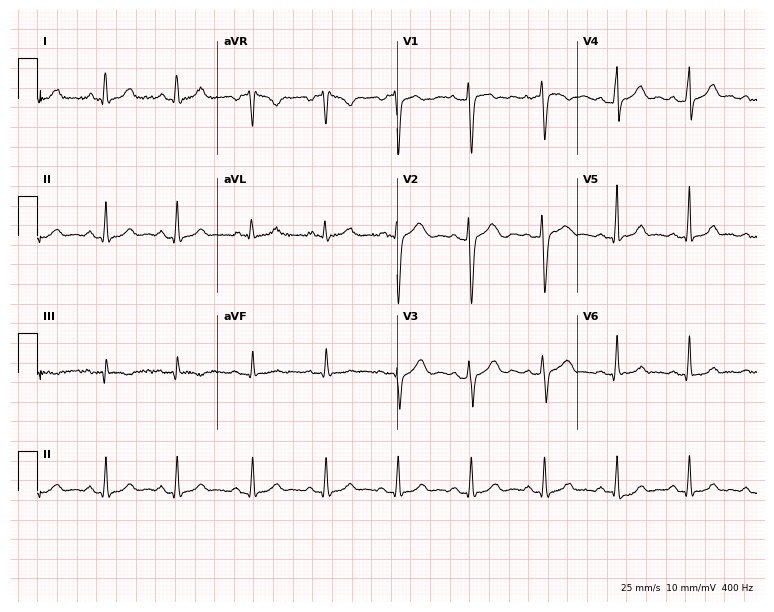
Electrocardiogram, a 33-year-old female. Of the six screened findings (first-degree AV block, right bundle branch block, left bundle branch block, sinus bradycardia, atrial fibrillation, sinus tachycardia), none is recorded.